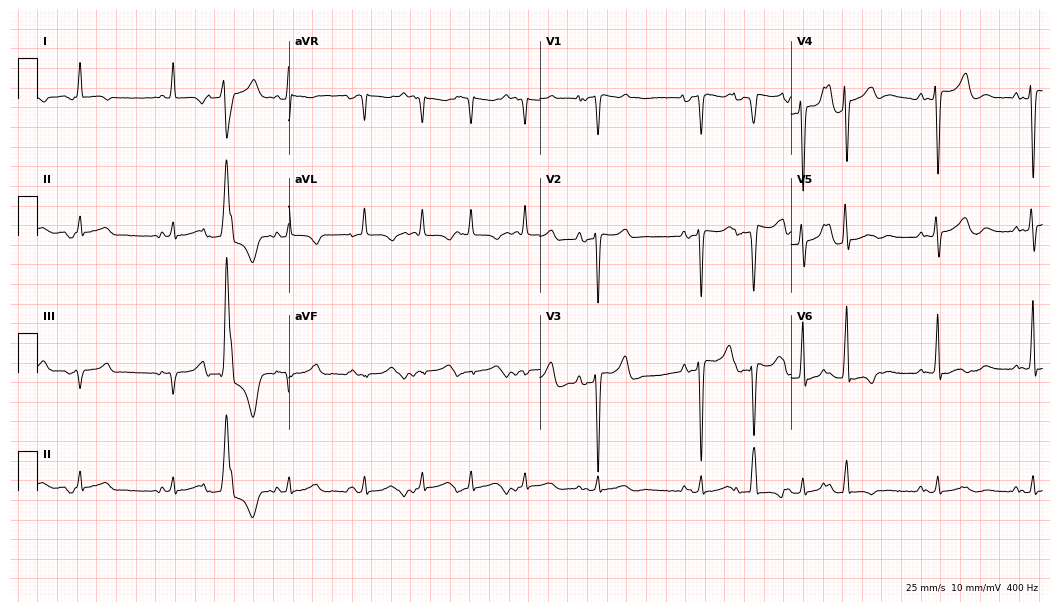
Resting 12-lead electrocardiogram. Patient: an 80-year-old male. None of these six findings is recorded: first-degree AV block, right bundle branch block, left bundle branch block, sinus bradycardia, atrial fibrillation, sinus tachycardia. Findings outside these six are not listed.